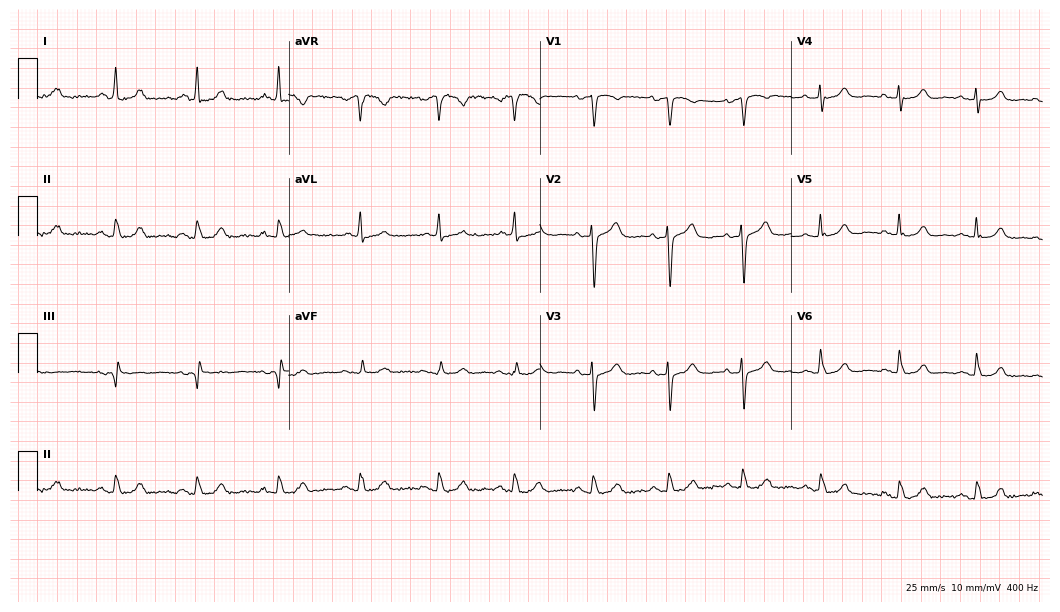
Standard 12-lead ECG recorded from an 85-year-old male patient. Read as a normal ECG.